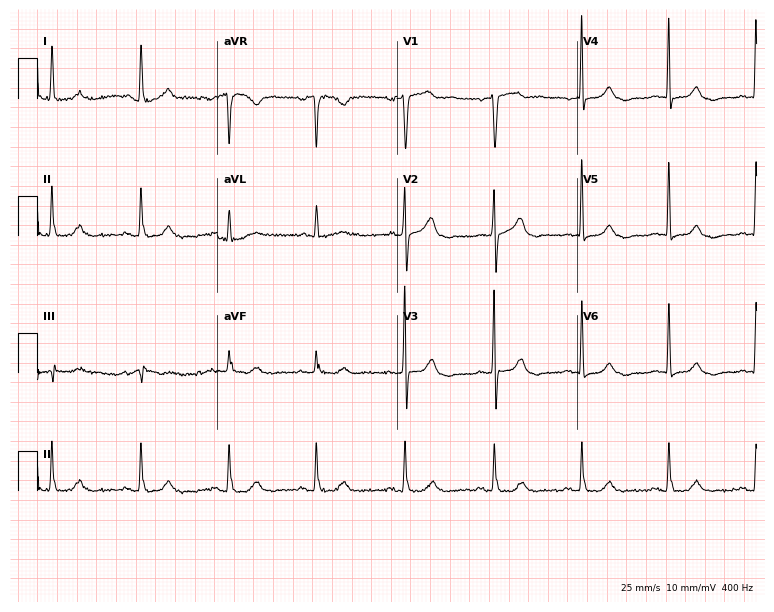
Standard 12-lead ECG recorded from an 84-year-old female patient. None of these six findings is recorded: first-degree AV block, right bundle branch block, left bundle branch block, sinus bradycardia, atrial fibrillation, sinus tachycardia. Only these six findings were labelled.